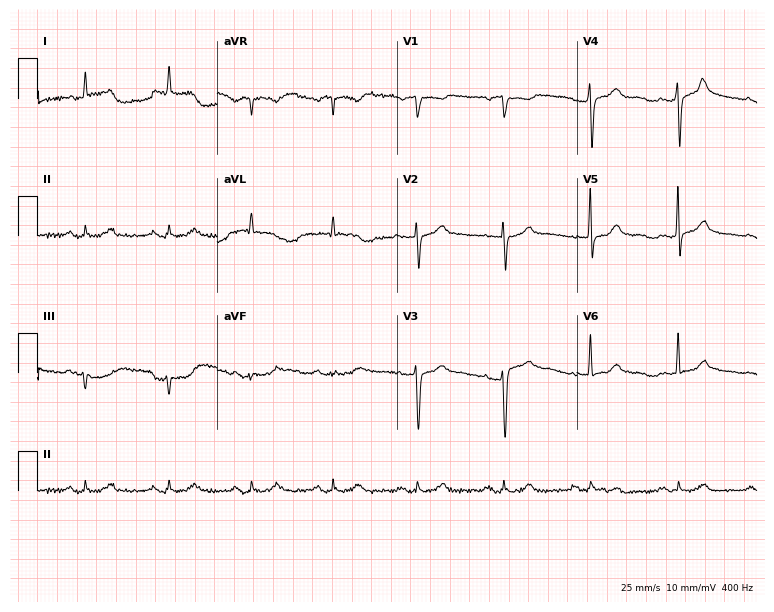
12-lead ECG from a 72-year-old male. No first-degree AV block, right bundle branch block, left bundle branch block, sinus bradycardia, atrial fibrillation or sinus tachycardia recorded for this tracing. Findings outside these six are not listed.